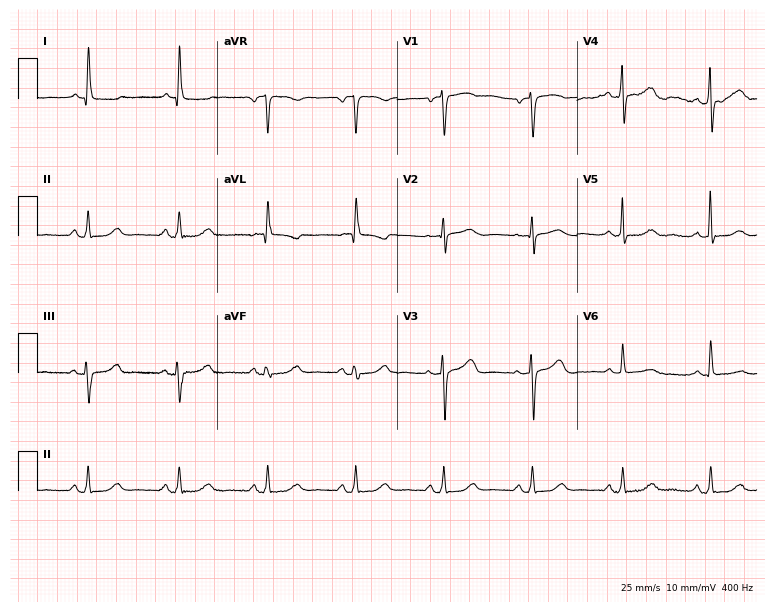
Standard 12-lead ECG recorded from a woman, 86 years old. None of these six findings is recorded: first-degree AV block, right bundle branch block, left bundle branch block, sinus bradycardia, atrial fibrillation, sinus tachycardia.